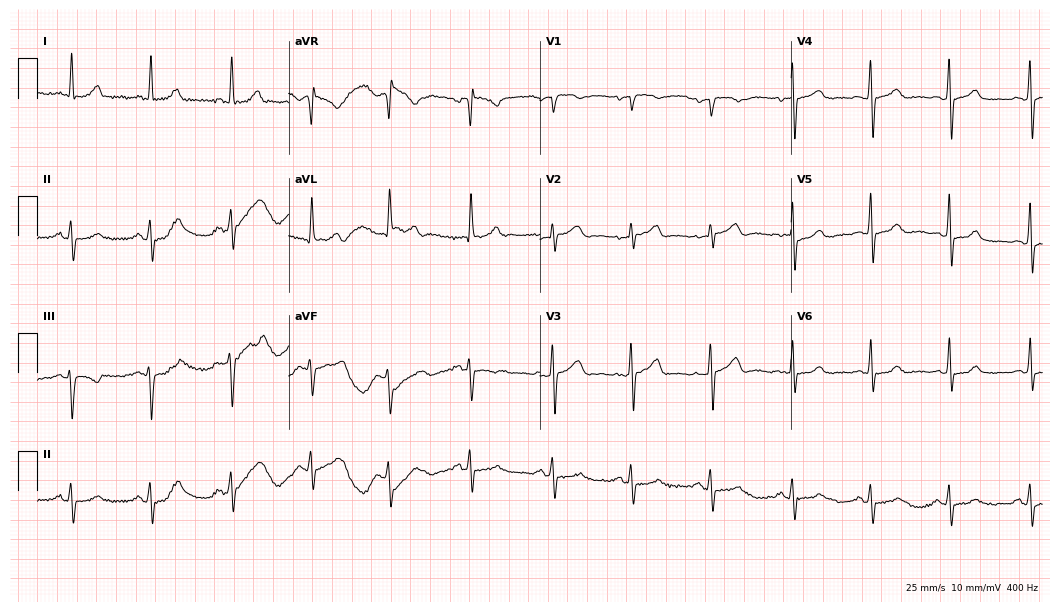
12-lead ECG from a 48-year-old woman (10.2-second recording at 400 Hz). No first-degree AV block, right bundle branch block (RBBB), left bundle branch block (LBBB), sinus bradycardia, atrial fibrillation (AF) or sinus tachycardia recorded for this tracing.